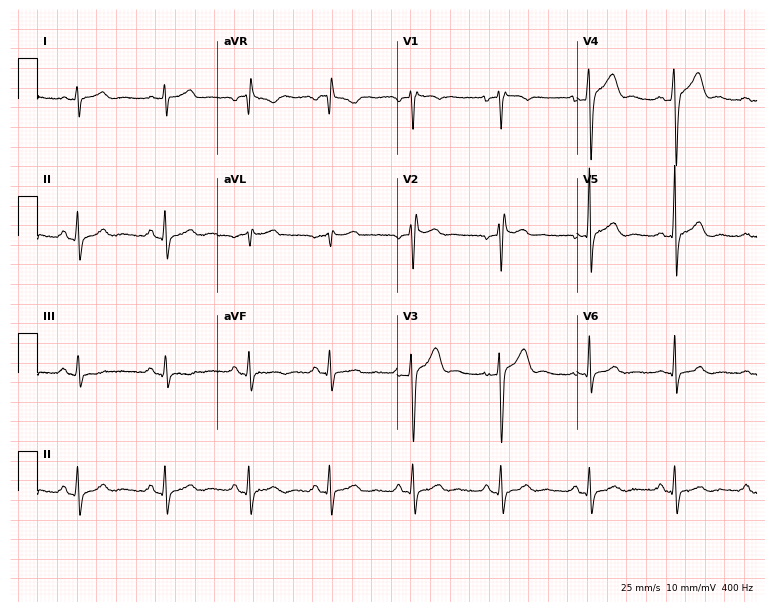
12-lead ECG (7.3-second recording at 400 Hz) from a male patient, 30 years old. Screened for six findings — first-degree AV block, right bundle branch block, left bundle branch block, sinus bradycardia, atrial fibrillation, sinus tachycardia — none is recorded.